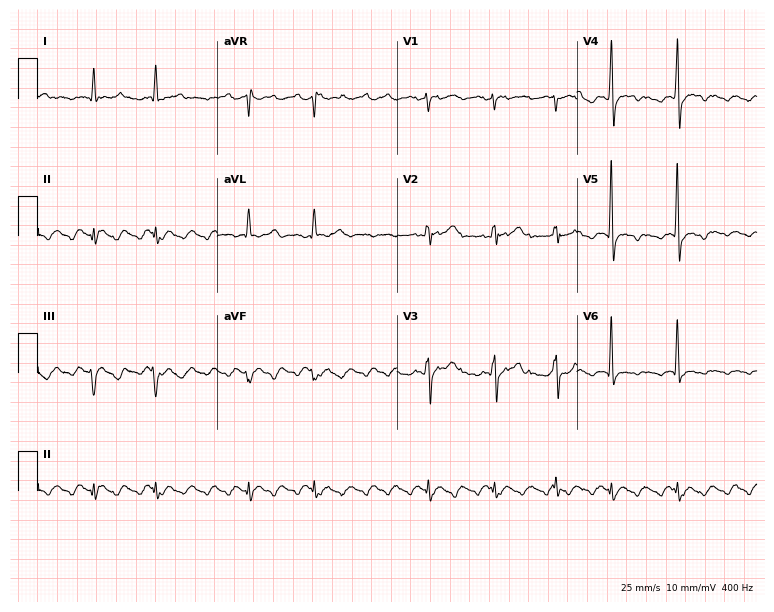
ECG — a 74-year-old male. Screened for six findings — first-degree AV block, right bundle branch block (RBBB), left bundle branch block (LBBB), sinus bradycardia, atrial fibrillation (AF), sinus tachycardia — none is recorded.